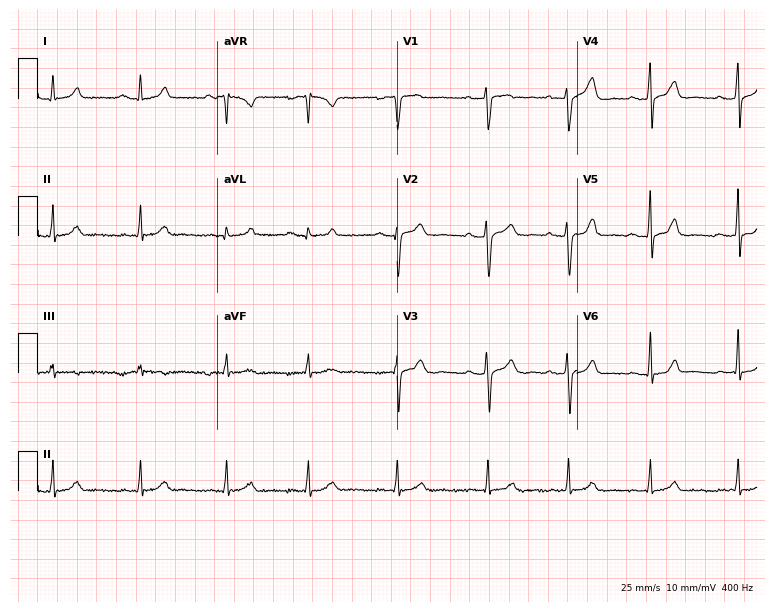
ECG — a female, 21 years old. Labelled as a normal ECG.